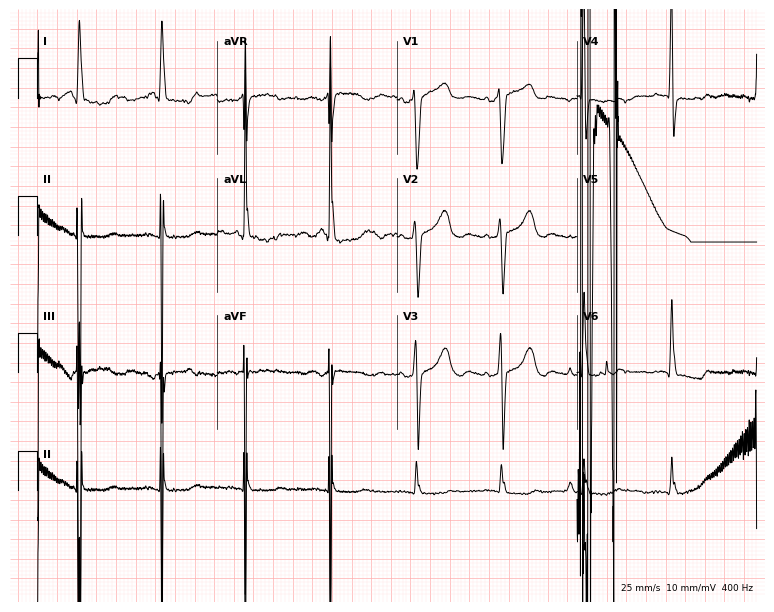
Standard 12-lead ECG recorded from an 83-year-old woman (7.3-second recording at 400 Hz). None of these six findings is recorded: first-degree AV block, right bundle branch block, left bundle branch block, sinus bradycardia, atrial fibrillation, sinus tachycardia.